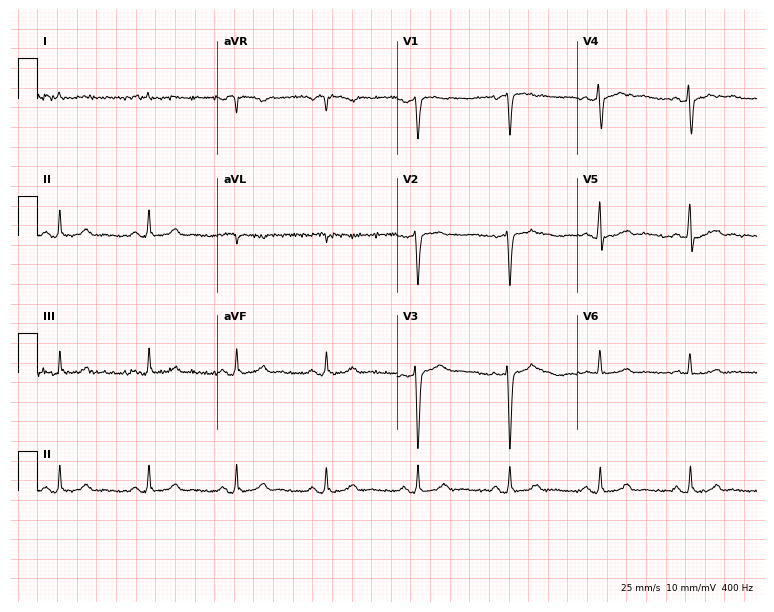
12-lead ECG from a male, 65 years old. No first-degree AV block, right bundle branch block, left bundle branch block, sinus bradycardia, atrial fibrillation or sinus tachycardia recorded for this tracing. Only these six findings were labelled.